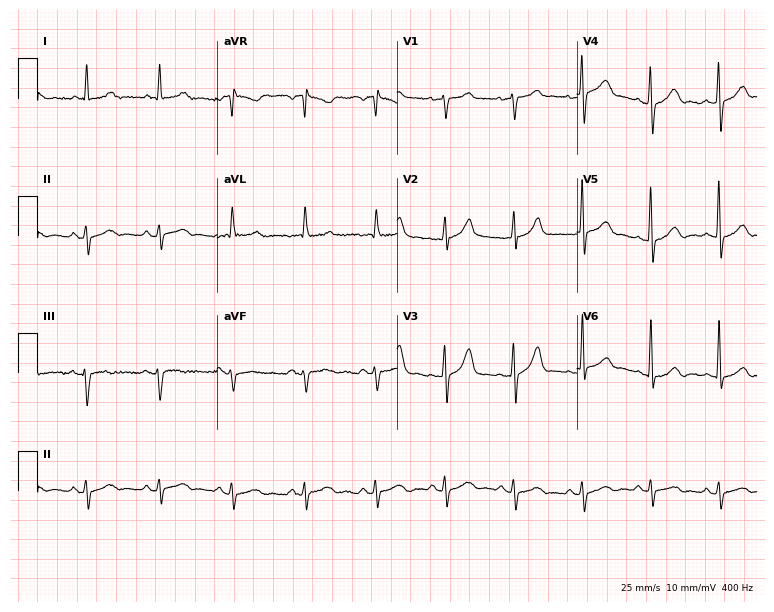
12-lead ECG from a man, 64 years old (7.3-second recording at 400 Hz). No first-degree AV block, right bundle branch block, left bundle branch block, sinus bradycardia, atrial fibrillation or sinus tachycardia recorded for this tracing. Findings outside these six are not listed.